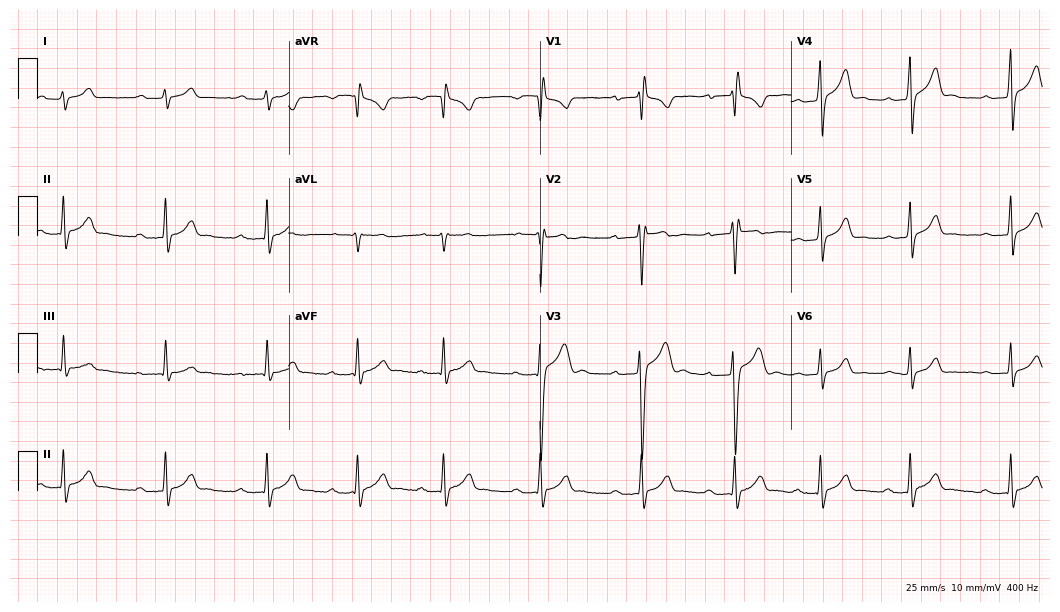
12-lead ECG from a male patient, 17 years old. Findings include first-degree AV block.